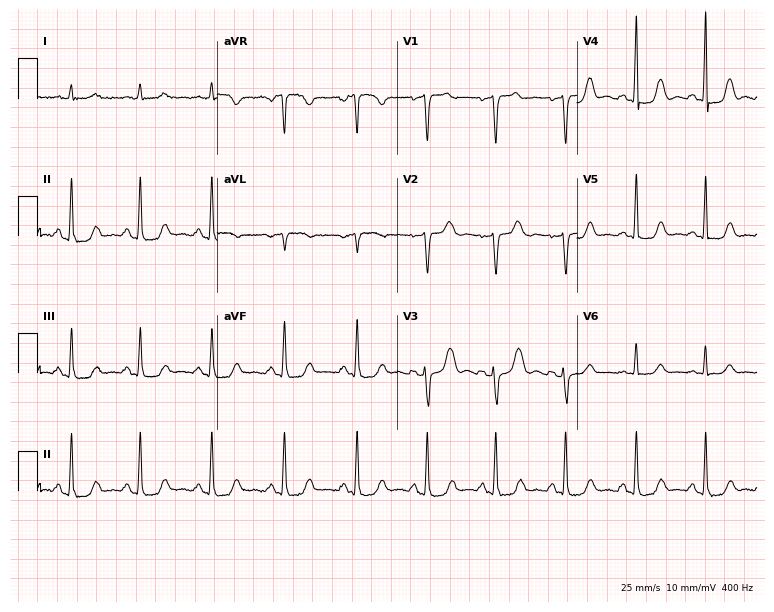
ECG (7.3-second recording at 400 Hz) — a female, 51 years old. Screened for six findings — first-degree AV block, right bundle branch block, left bundle branch block, sinus bradycardia, atrial fibrillation, sinus tachycardia — none is recorded. Only these six findings were labelled.